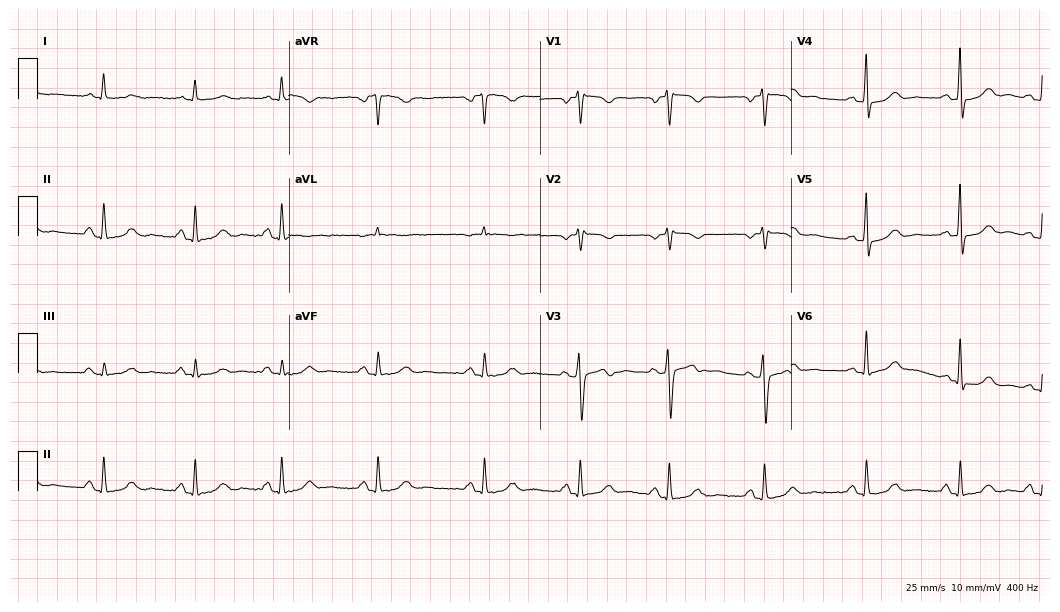
ECG — a 36-year-old woman. Screened for six findings — first-degree AV block, right bundle branch block (RBBB), left bundle branch block (LBBB), sinus bradycardia, atrial fibrillation (AF), sinus tachycardia — none is recorded. Other findings, if any, are not listed.